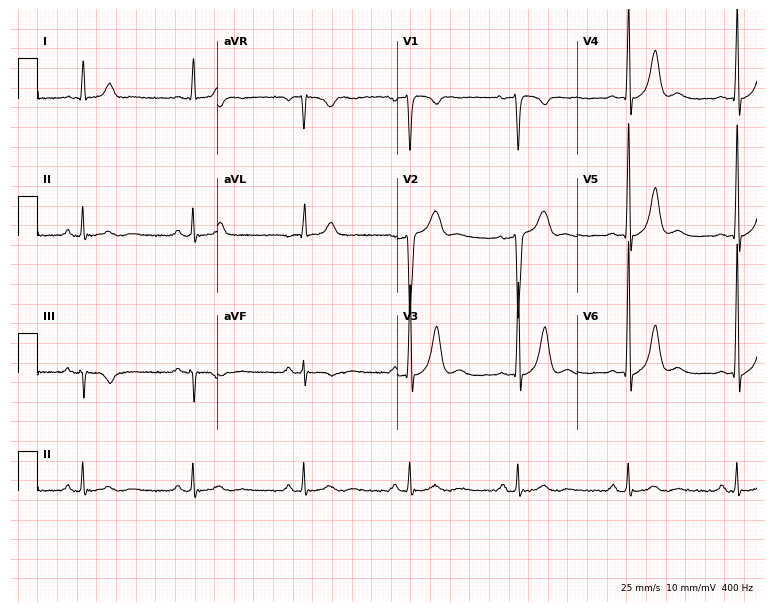
12-lead ECG from a male, 43 years old (7.3-second recording at 400 Hz). No first-degree AV block, right bundle branch block, left bundle branch block, sinus bradycardia, atrial fibrillation or sinus tachycardia recorded for this tracing. Other findings, if any, are not listed.